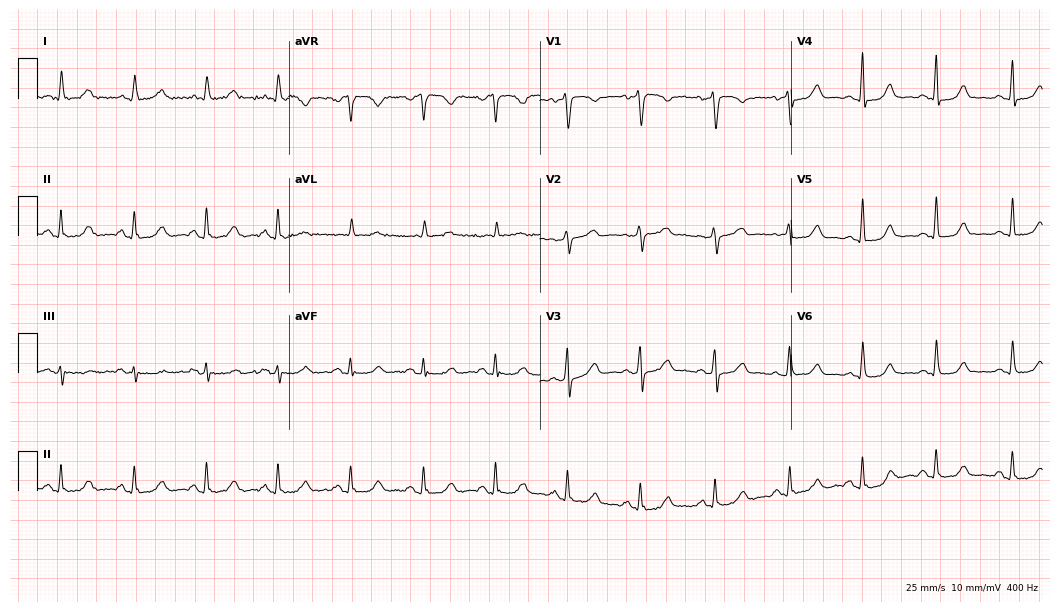
Standard 12-lead ECG recorded from a 51-year-old female. None of these six findings is recorded: first-degree AV block, right bundle branch block (RBBB), left bundle branch block (LBBB), sinus bradycardia, atrial fibrillation (AF), sinus tachycardia. Findings outside these six are not listed.